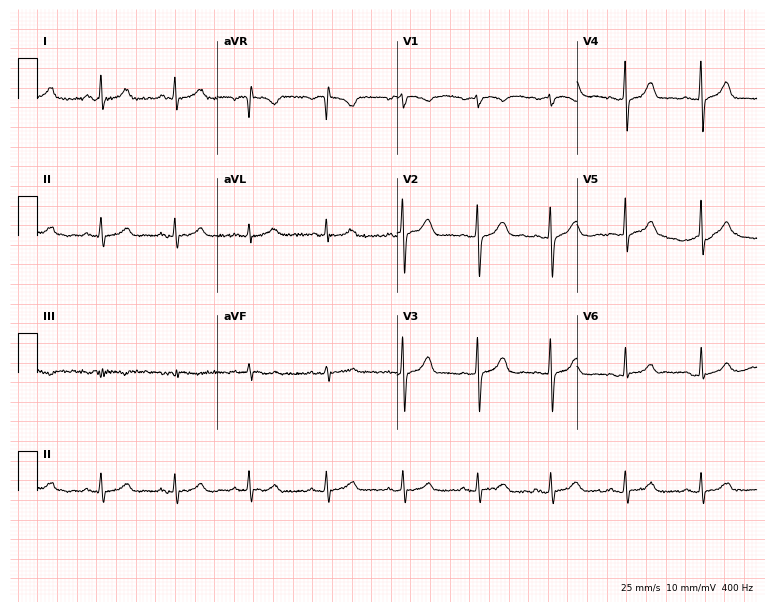
12-lead ECG from a female patient, 37 years old. Screened for six findings — first-degree AV block, right bundle branch block, left bundle branch block, sinus bradycardia, atrial fibrillation, sinus tachycardia — none is recorded.